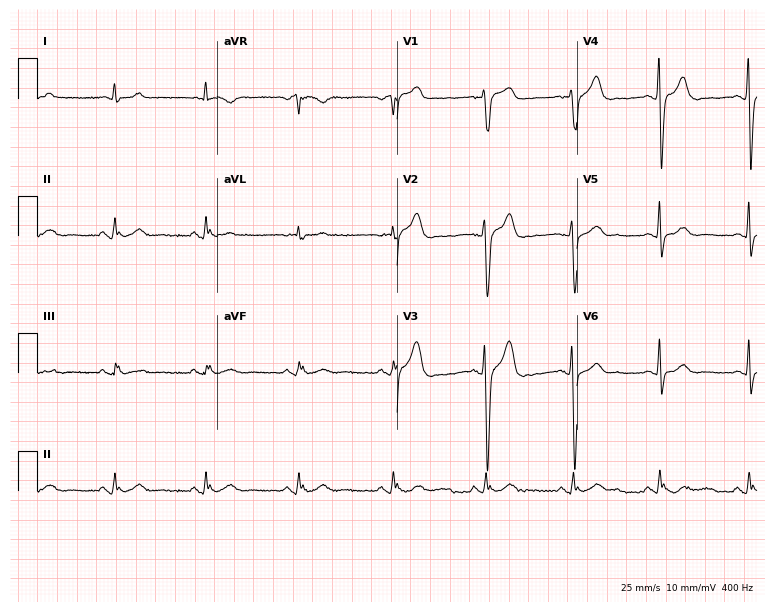
Standard 12-lead ECG recorded from a male, 46 years old (7.3-second recording at 400 Hz). Read as a normal ECG.